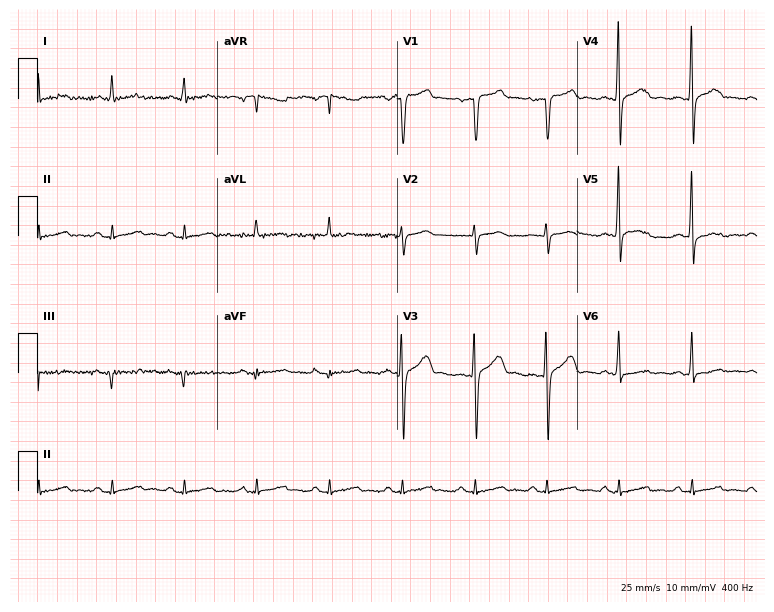
ECG (7.3-second recording at 400 Hz) — a 48-year-old male patient. Labelled as a normal ECG.